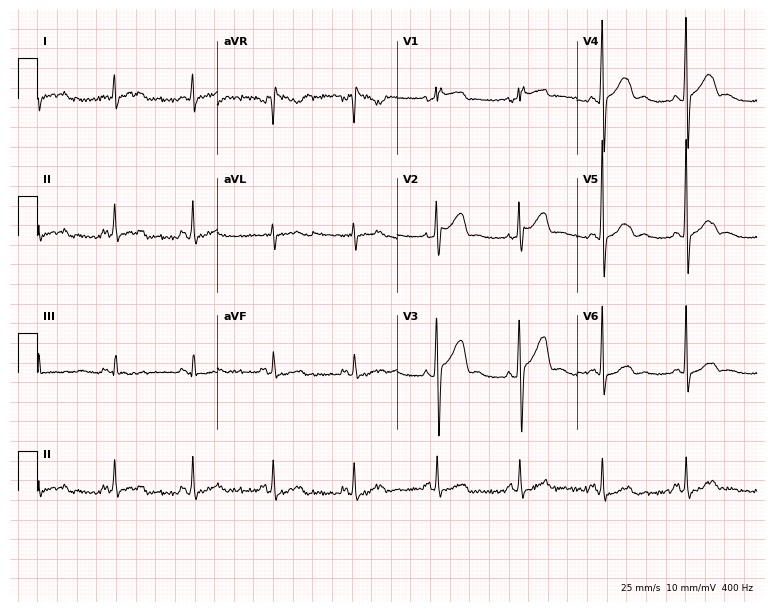
Electrocardiogram (7.3-second recording at 400 Hz), a female, 50 years old. Overall reading on record: normal ECG.